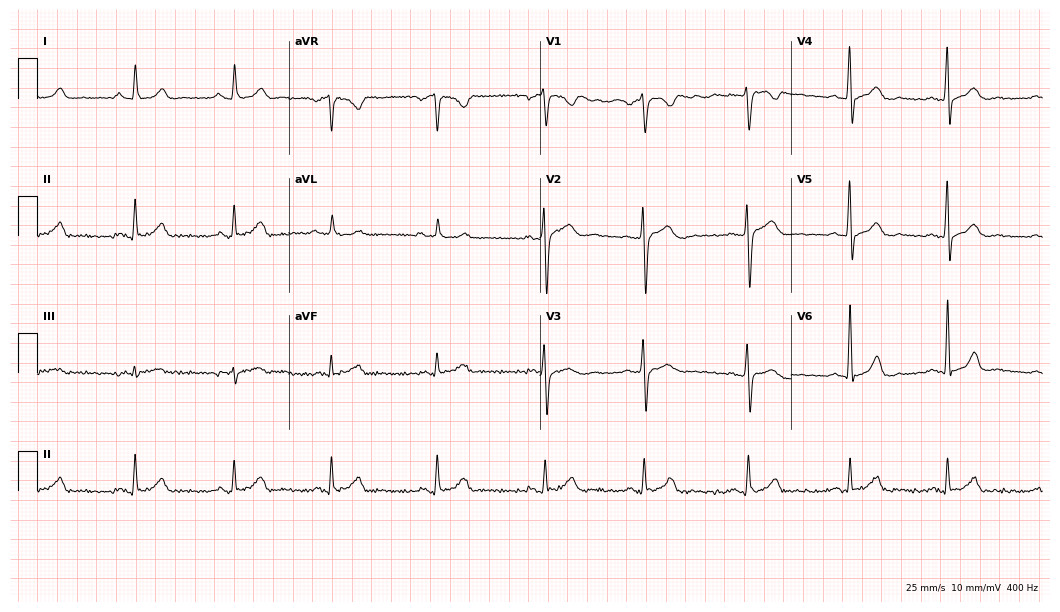
Resting 12-lead electrocardiogram (10.2-second recording at 400 Hz). Patient: a 23-year-old male. Read as a normal ECG.